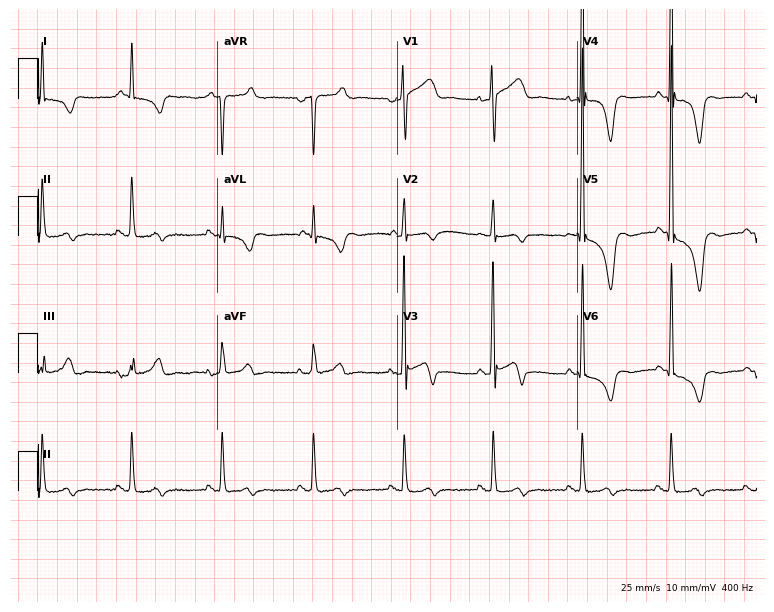
ECG (7.3-second recording at 400 Hz) — a man, 60 years old. Screened for six findings — first-degree AV block, right bundle branch block, left bundle branch block, sinus bradycardia, atrial fibrillation, sinus tachycardia — none is recorded.